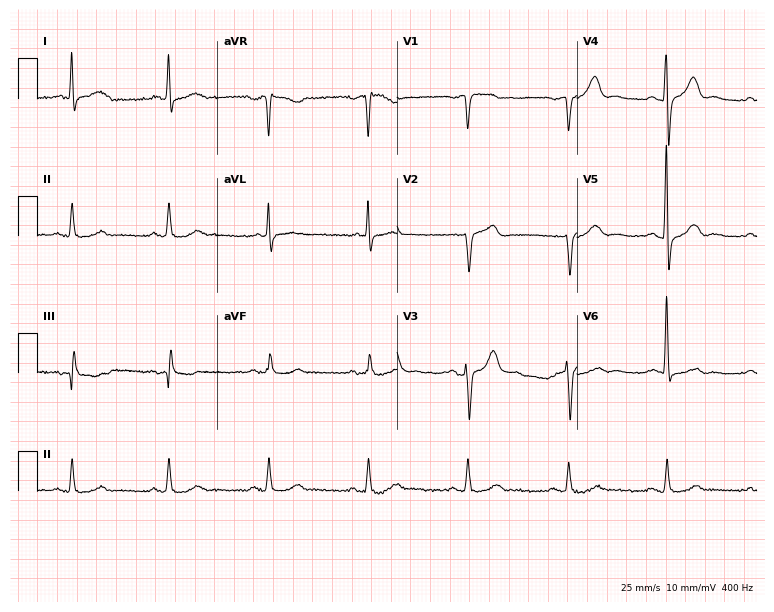
12-lead ECG from a man, 76 years old. Labelled as a normal ECG.